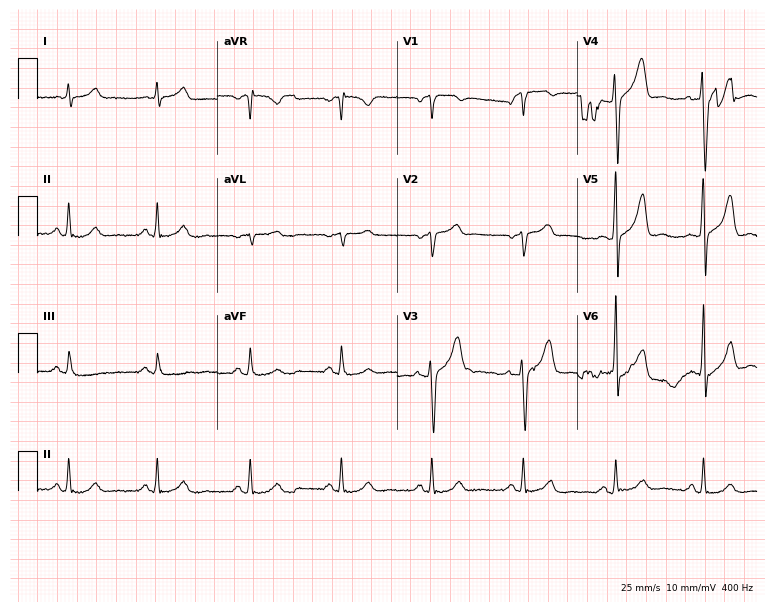
12-lead ECG from a 58-year-old male patient. Recorded interpretation: within normal limits.